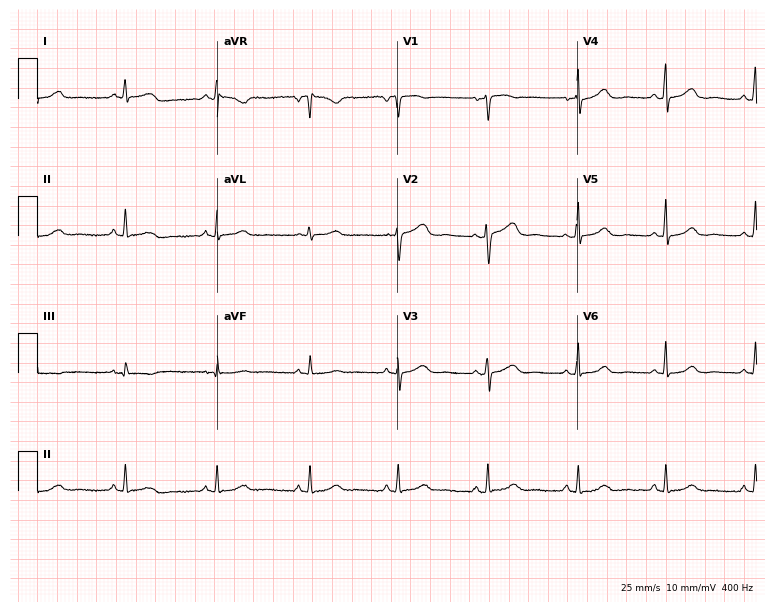
12-lead ECG from a female, 48 years old. Labelled as a normal ECG.